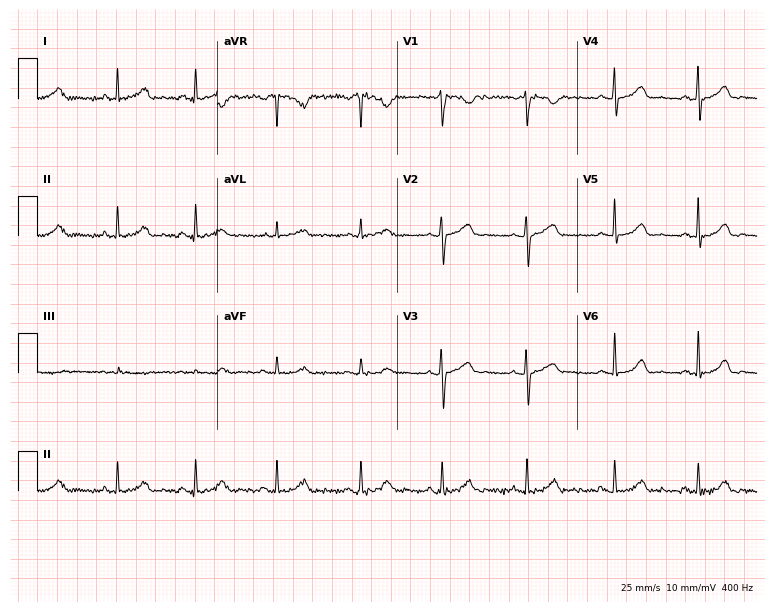
ECG — a female patient, 31 years old. Labelled as a normal ECG.